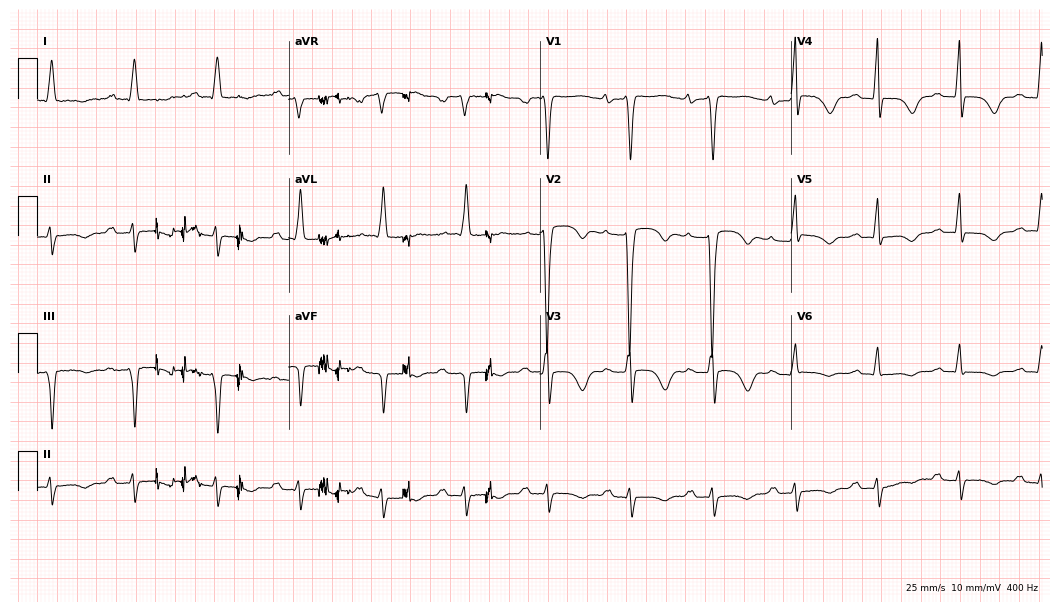
12-lead ECG (10.2-second recording at 400 Hz) from a male, 78 years old. Screened for six findings — first-degree AV block, right bundle branch block (RBBB), left bundle branch block (LBBB), sinus bradycardia, atrial fibrillation (AF), sinus tachycardia — none is recorded.